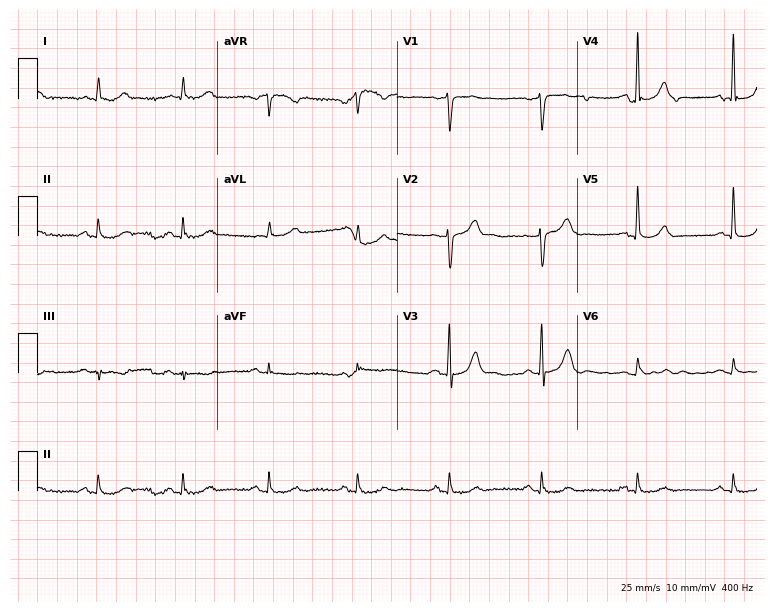
Resting 12-lead electrocardiogram. Patient: a male, 75 years old. Read as a normal ECG.